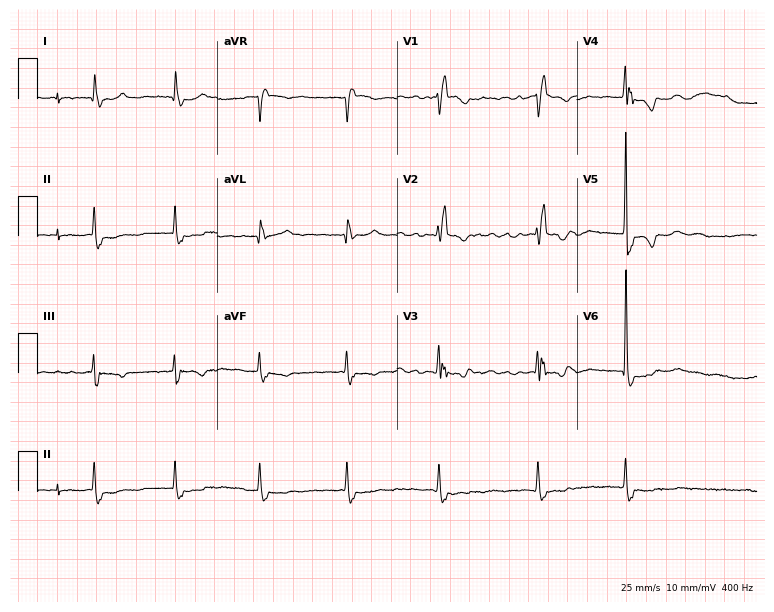
12-lead ECG from a 73-year-old female patient. Shows right bundle branch block.